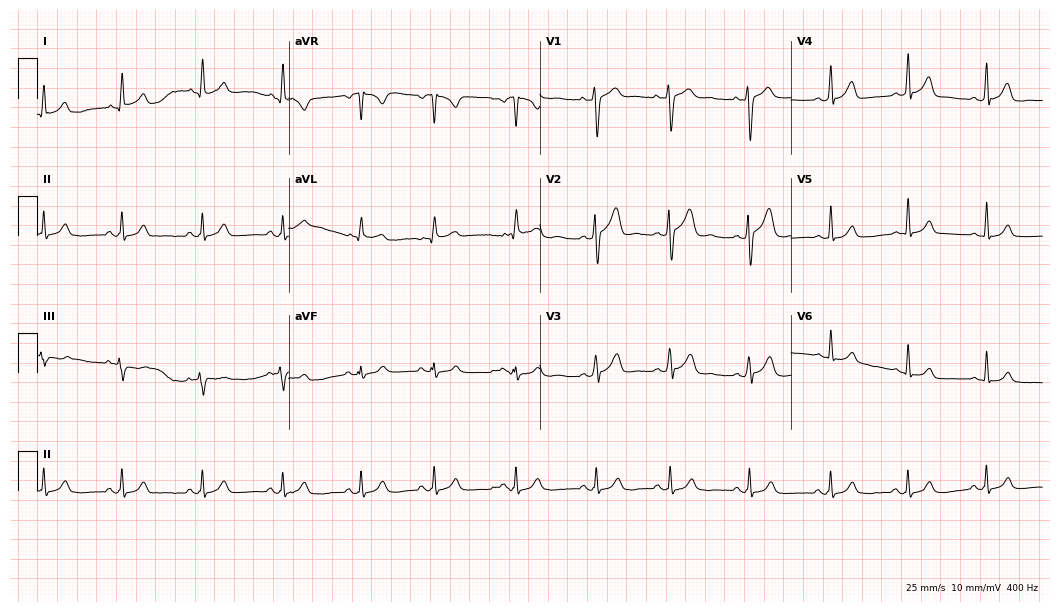
12-lead ECG from a female, 26 years old (10.2-second recording at 400 Hz). No first-degree AV block, right bundle branch block, left bundle branch block, sinus bradycardia, atrial fibrillation or sinus tachycardia recorded for this tracing.